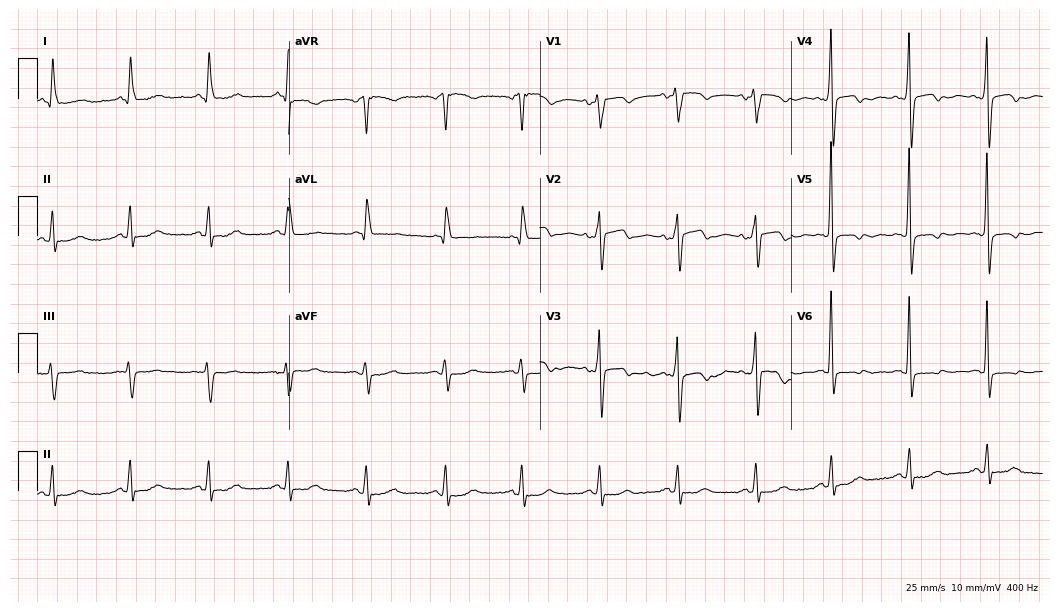
12-lead ECG from a 59-year-old female patient. No first-degree AV block, right bundle branch block (RBBB), left bundle branch block (LBBB), sinus bradycardia, atrial fibrillation (AF) or sinus tachycardia recorded for this tracing.